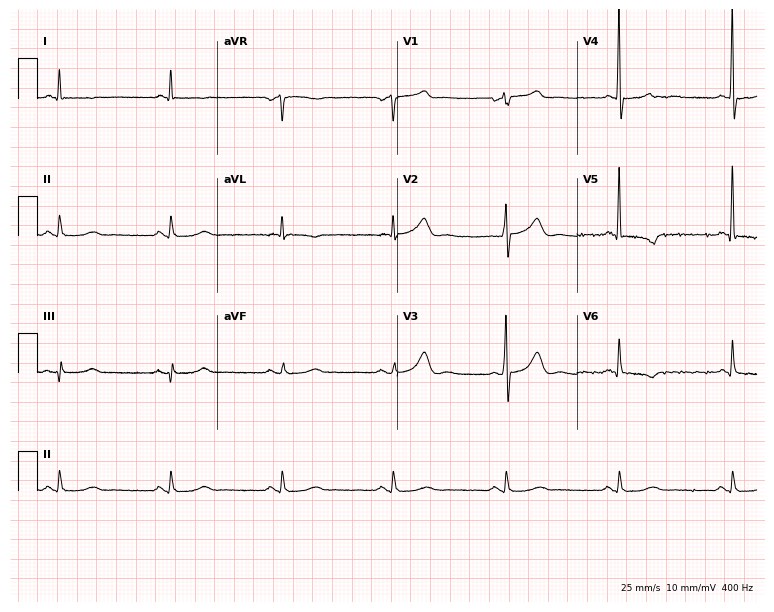
Standard 12-lead ECG recorded from a man, 81 years old. None of these six findings is recorded: first-degree AV block, right bundle branch block, left bundle branch block, sinus bradycardia, atrial fibrillation, sinus tachycardia.